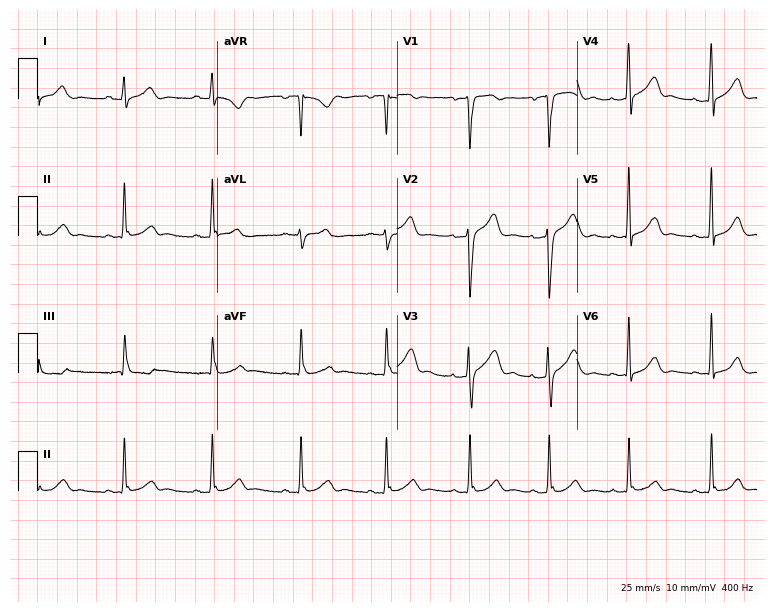
ECG (7.3-second recording at 400 Hz) — a 33-year-old male patient. Labelled as a normal ECG.